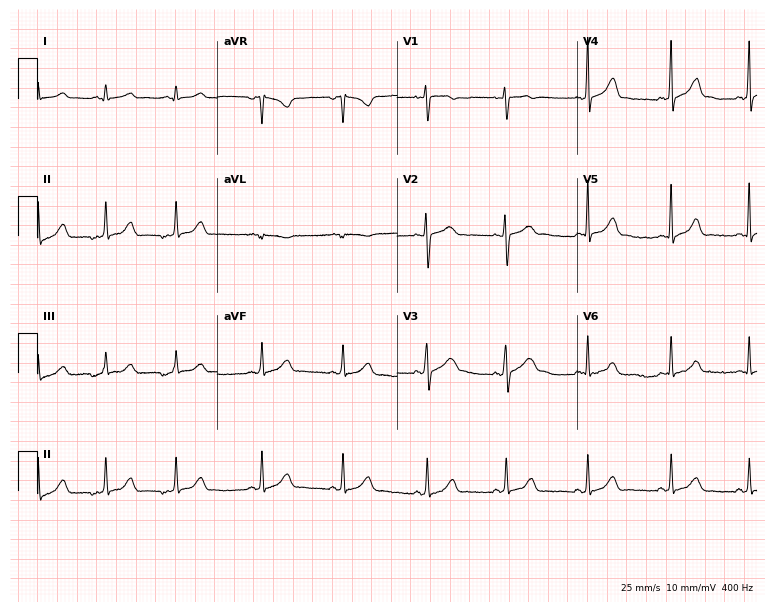
Standard 12-lead ECG recorded from a 39-year-old female (7.3-second recording at 400 Hz). Read as a normal ECG.